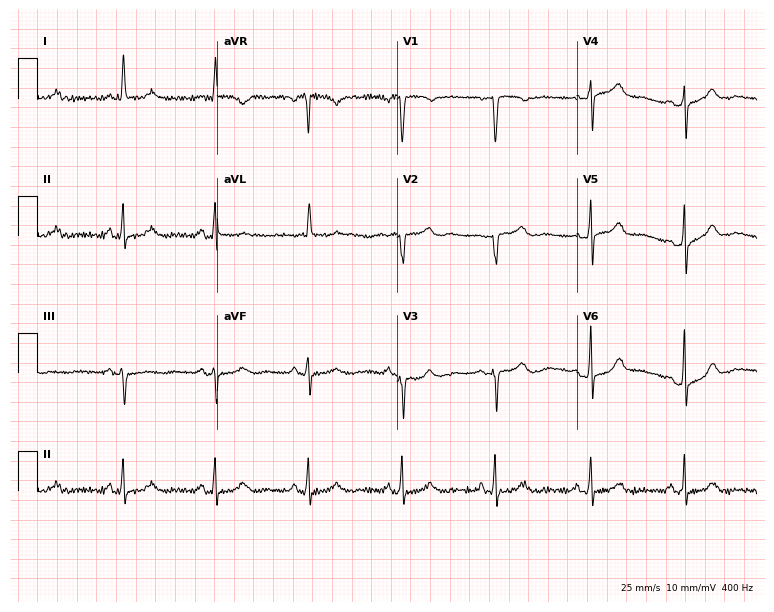
Resting 12-lead electrocardiogram (7.3-second recording at 400 Hz). Patient: a 61-year-old female. Read as a normal ECG.